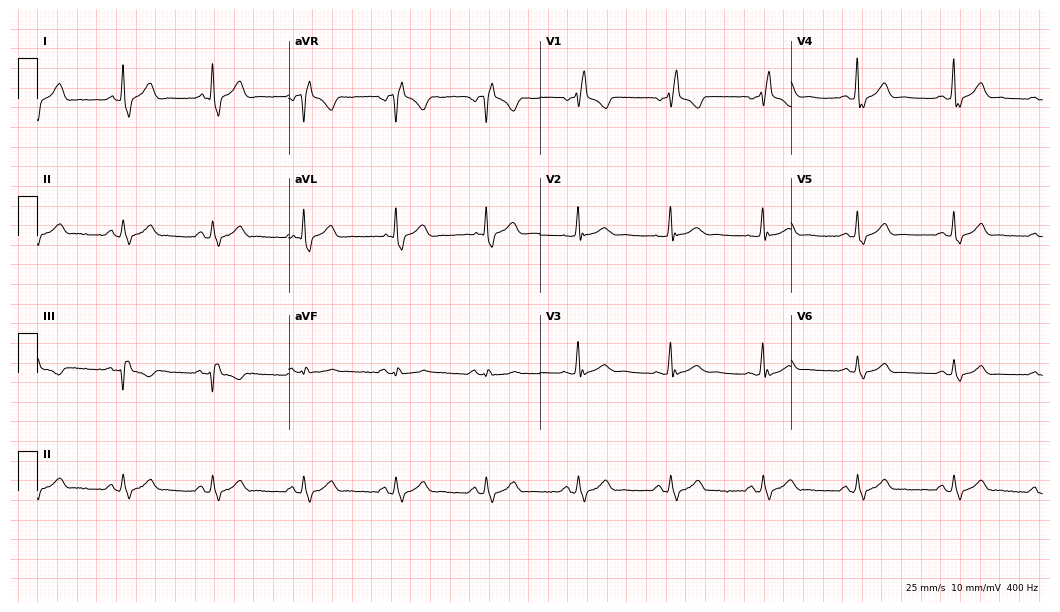
Resting 12-lead electrocardiogram. Patient: a female, 62 years old. The tracing shows right bundle branch block.